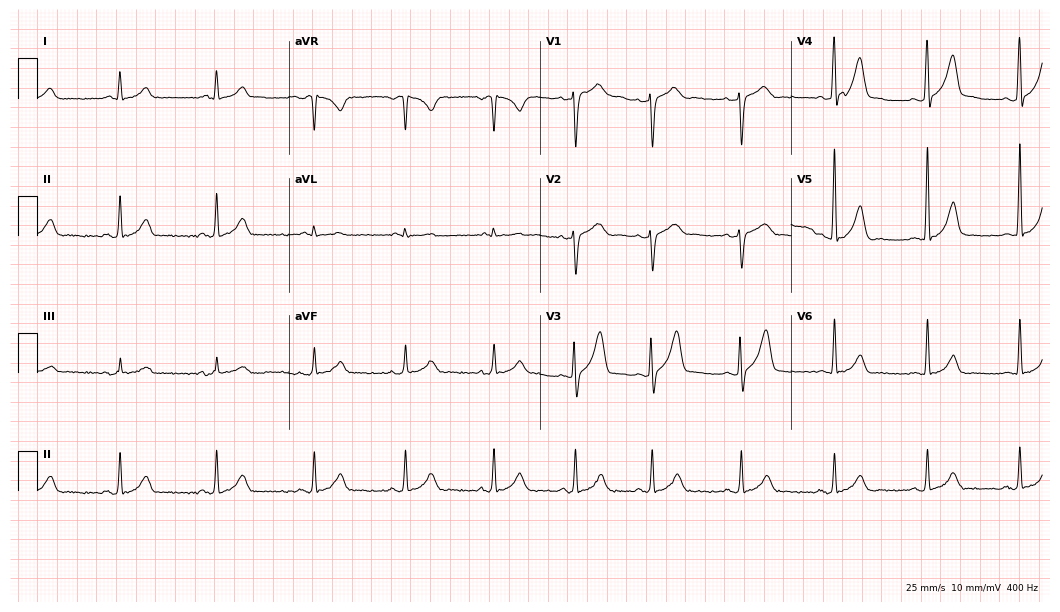
Resting 12-lead electrocardiogram. Patient: a male, 44 years old. None of these six findings is recorded: first-degree AV block, right bundle branch block (RBBB), left bundle branch block (LBBB), sinus bradycardia, atrial fibrillation (AF), sinus tachycardia.